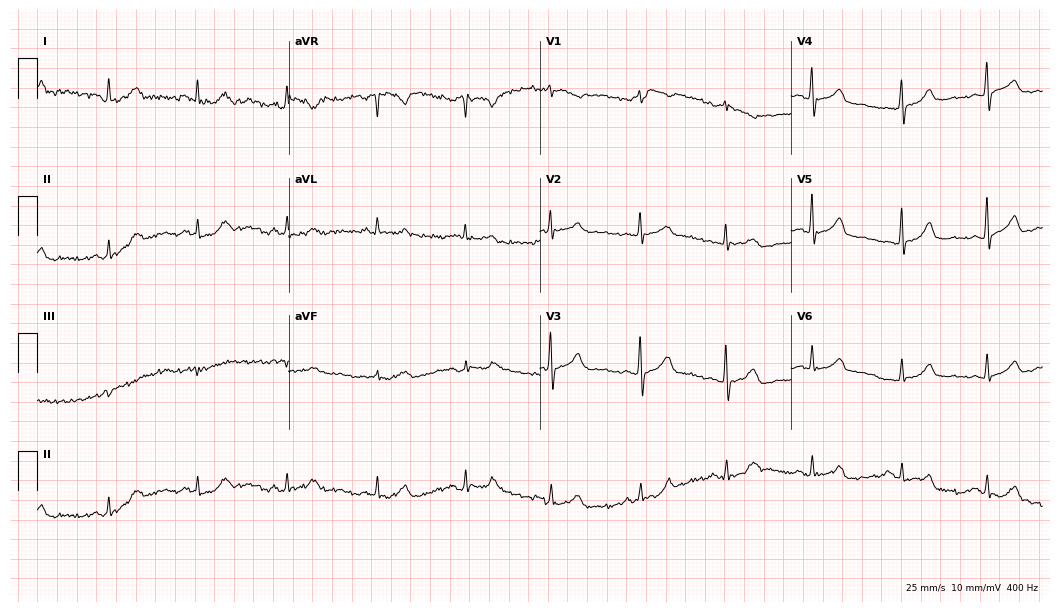
Resting 12-lead electrocardiogram (10.2-second recording at 400 Hz). Patient: a 66-year-old woman. None of these six findings is recorded: first-degree AV block, right bundle branch block (RBBB), left bundle branch block (LBBB), sinus bradycardia, atrial fibrillation (AF), sinus tachycardia.